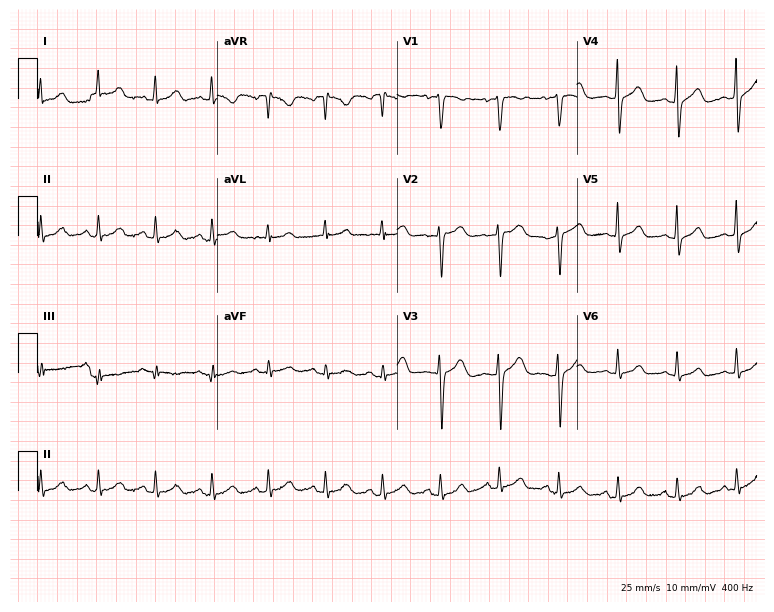
12-lead ECG from a female, 29 years old. Shows sinus tachycardia (a sinus rate of 100 beats per minute or more).